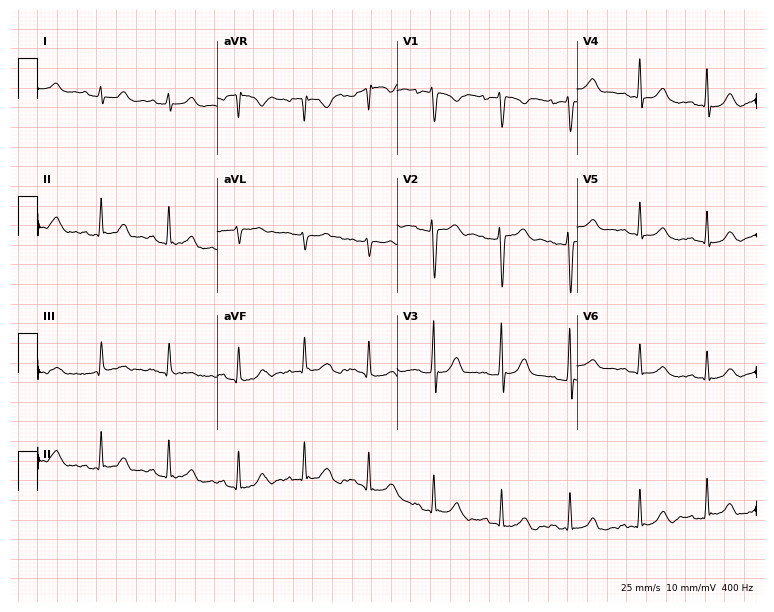
Resting 12-lead electrocardiogram. Patient: a 29-year-old female. None of these six findings is recorded: first-degree AV block, right bundle branch block, left bundle branch block, sinus bradycardia, atrial fibrillation, sinus tachycardia.